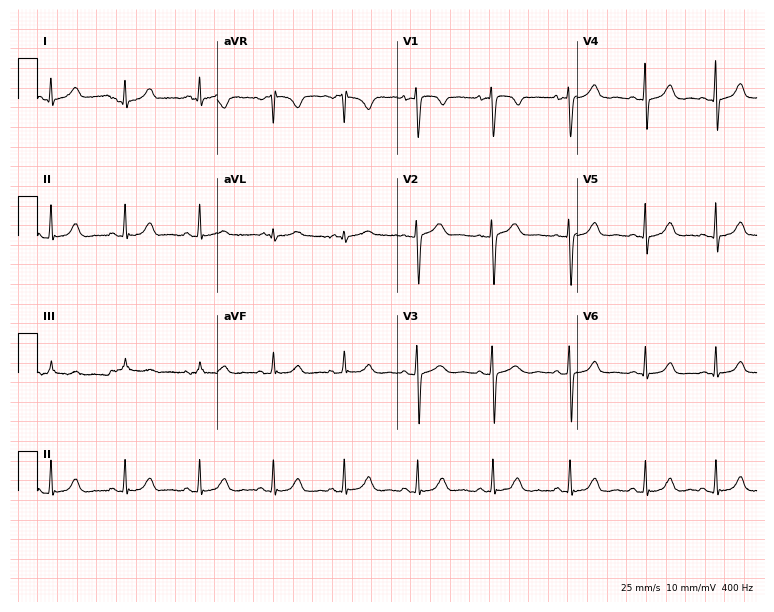
Standard 12-lead ECG recorded from a 30-year-old female. Read as a normal ECG.